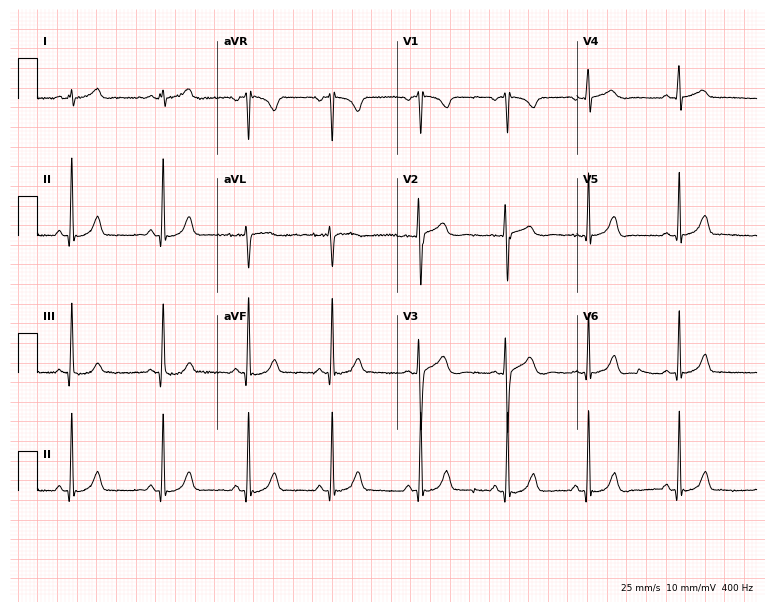
ECG (7.3-second recording at 400 Hz) — a male, 20 years old. Labelled as a normal ECG.